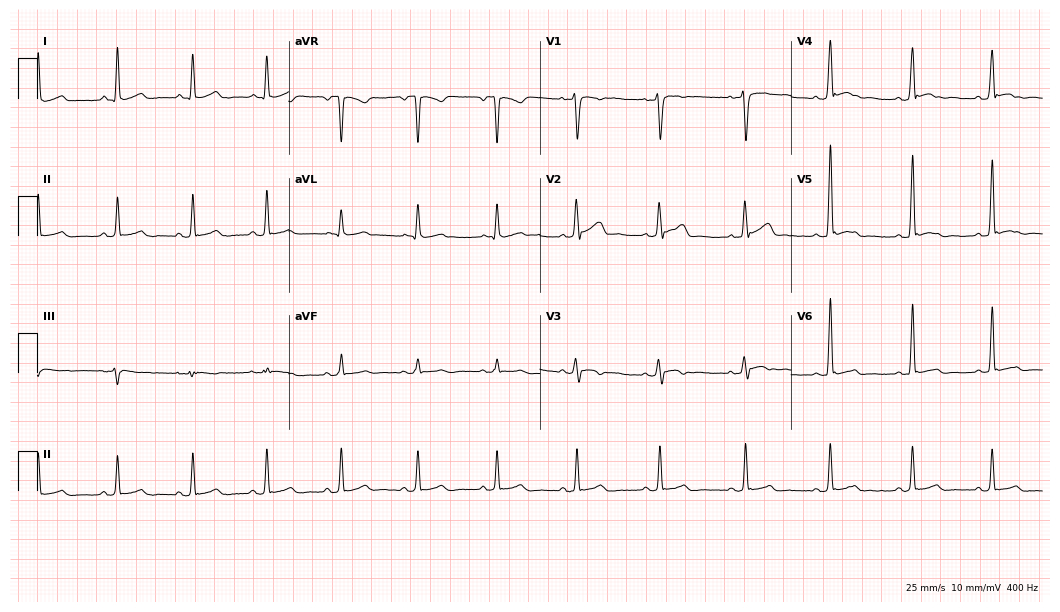
12-lead ECG from a 26-year-old man. Labelled as a normal ECG.